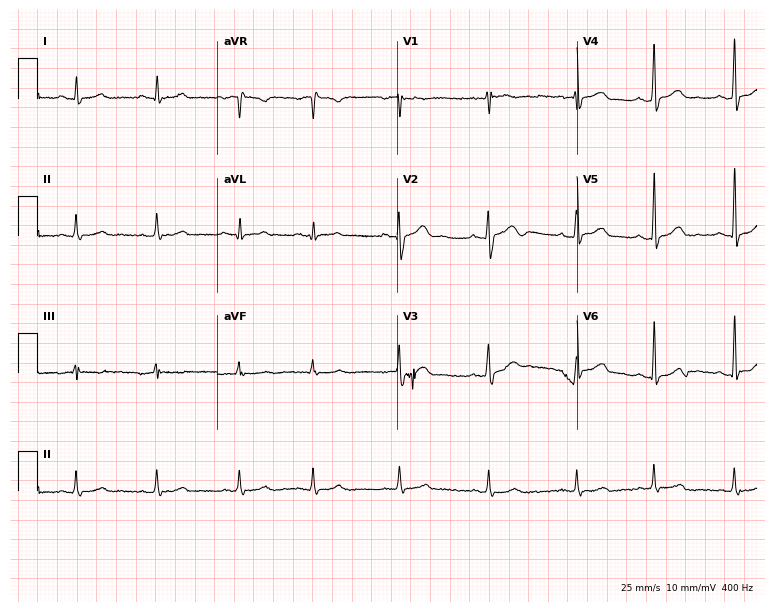
Resting 12-lead electrocardiogram (7.3-second recording at 400 Hz). Patient: a woman, 36 years old. None of these six findings is recorded: first-degree AV block, right bundle branch block, left bundle branch block, sinus bradycardia, atrial fibrillation, sinus tachycardia.